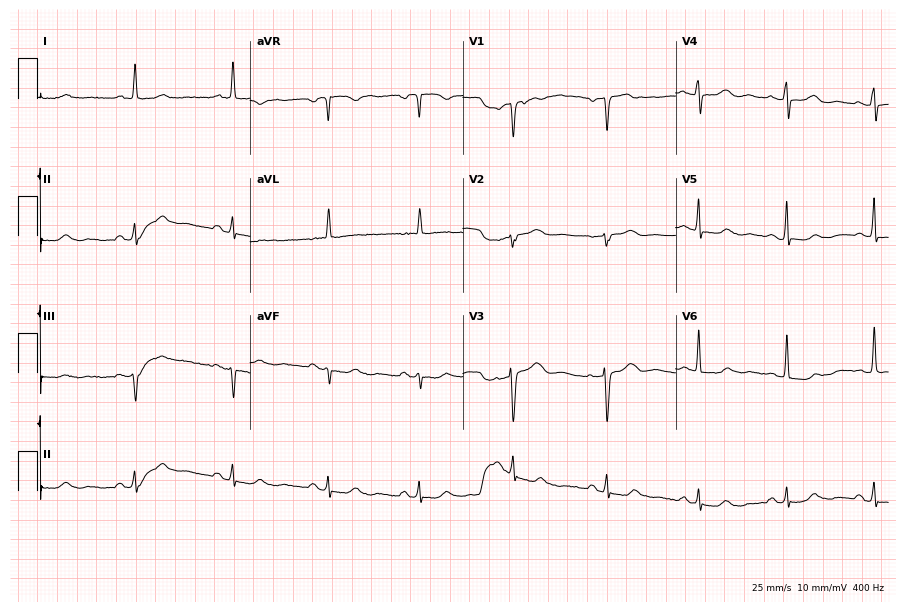
Standard 12-lead ECG recorded from a 78-year-old female. None of these six findings is recorded: first-degree AV block, right bundle branch block, left bundle branch block, sinus bradycardia, atrial fibrillation, sinus tachycardia.